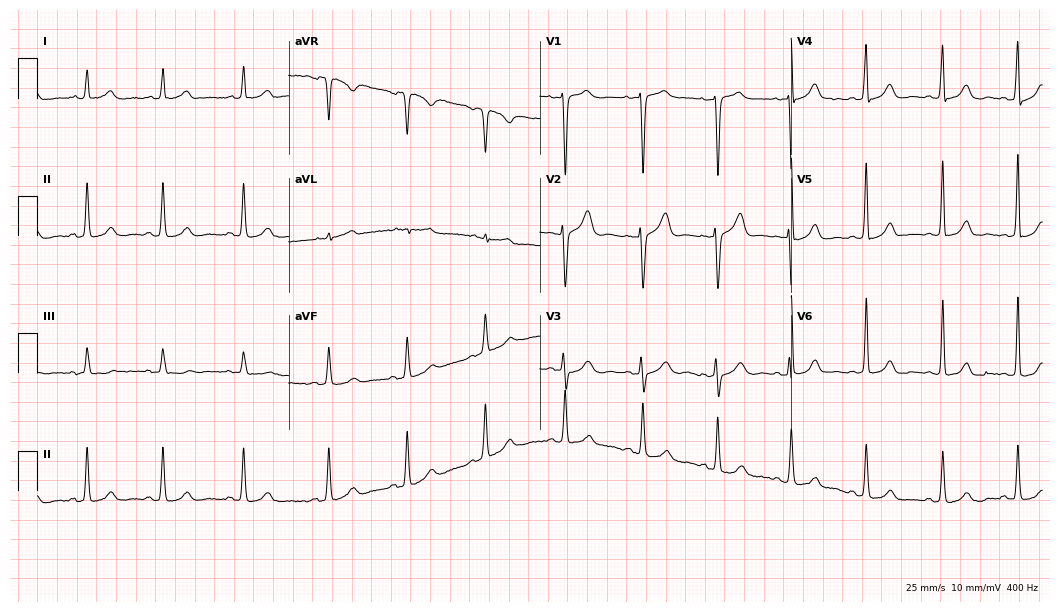
Electrocardiogram (10.2-second recording at 400 Hz), a female, 35 years old. Overall reading on record: normal ECG.